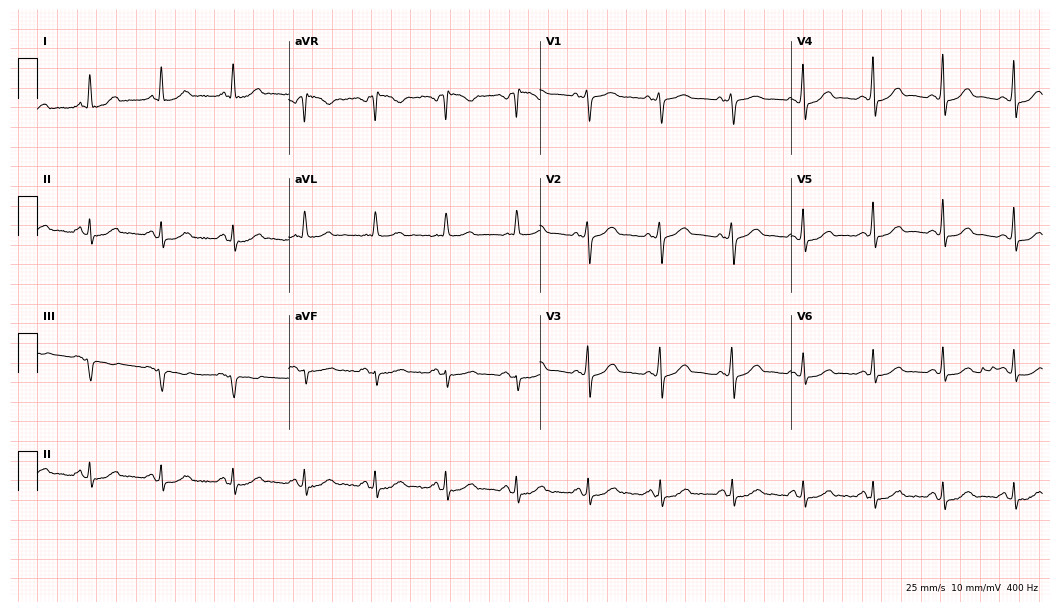
Standard 12-lead ECG recorded from a 60-year-old female patient. Read as a normal ECG.